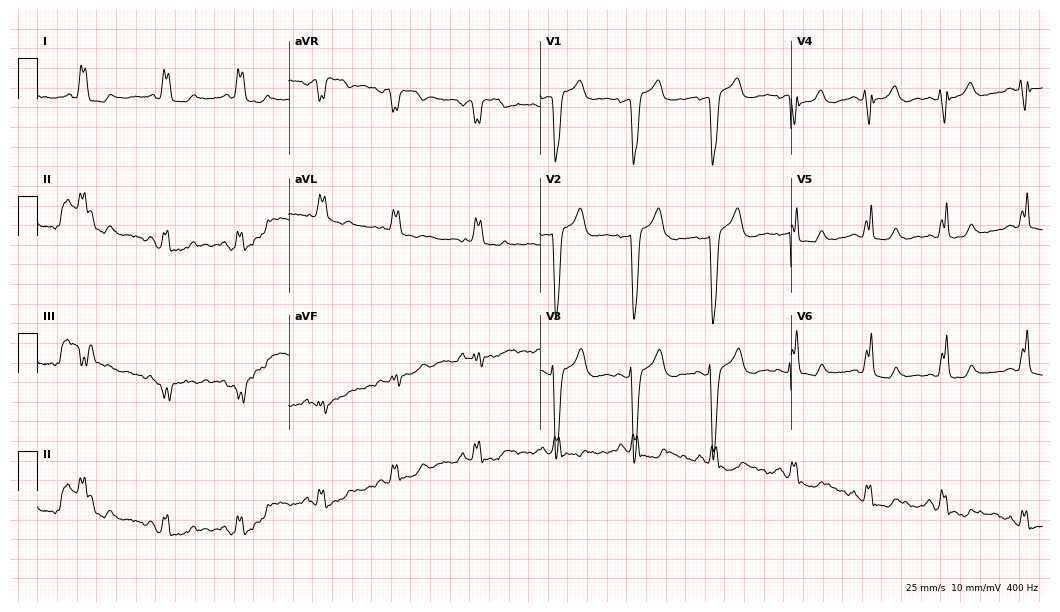
12-lead ECG from a female patient, 54 years old. Shows left bundle branch block.